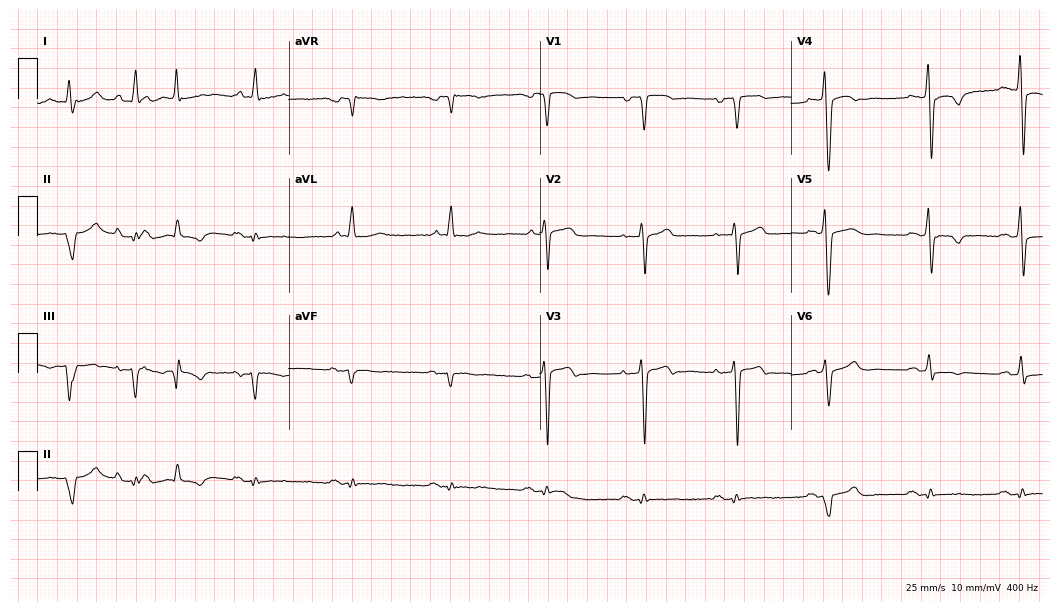
Resting 12-lead electrocardiogram (10.2-second recording at 400 Hz). Patient: an 84-year-old male. None of these six findings is recorded: first-degree AV block, right bundle branch block, left bundle branch block, sinus bradycardia, atrial fibrillation, sinus tachycardia. Only these six findings were labelled.